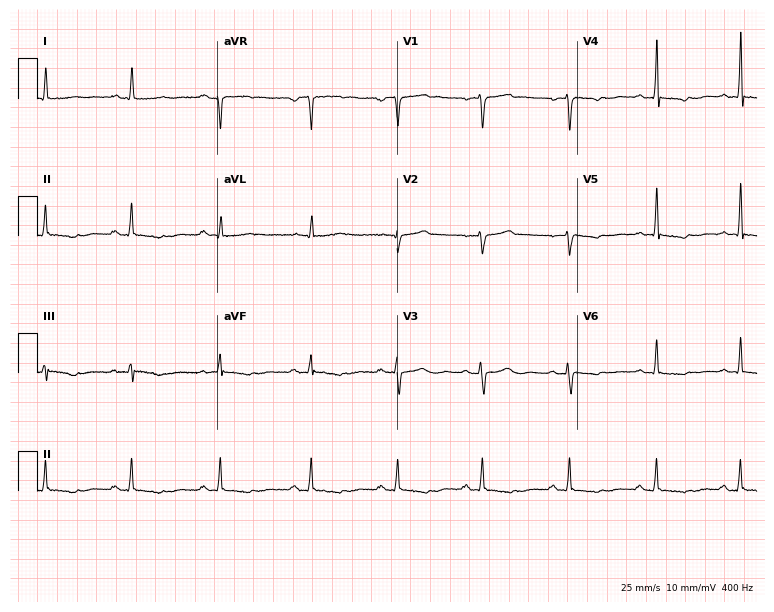
ECG — a 47-year-old female. Screened for six findings — first-degree AV block, right bundle branch block, left bundle branch block, sinus bradycardia, atrial fibrillation, sinus tachycardia — none is recorded.